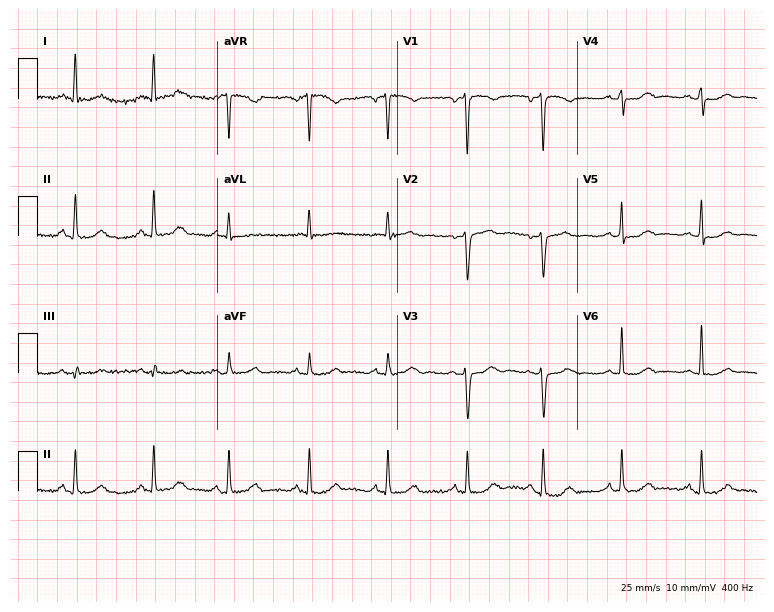
Electrocardiogram (7.3-second recording at 400 Hz), a female, 54 years old. Of the six screened findings (first-degree AV block, right bundle branch block, left bundle branch block, sinus bradycardia, atrial fibrillation, sinus tachycardia), none is recorded.